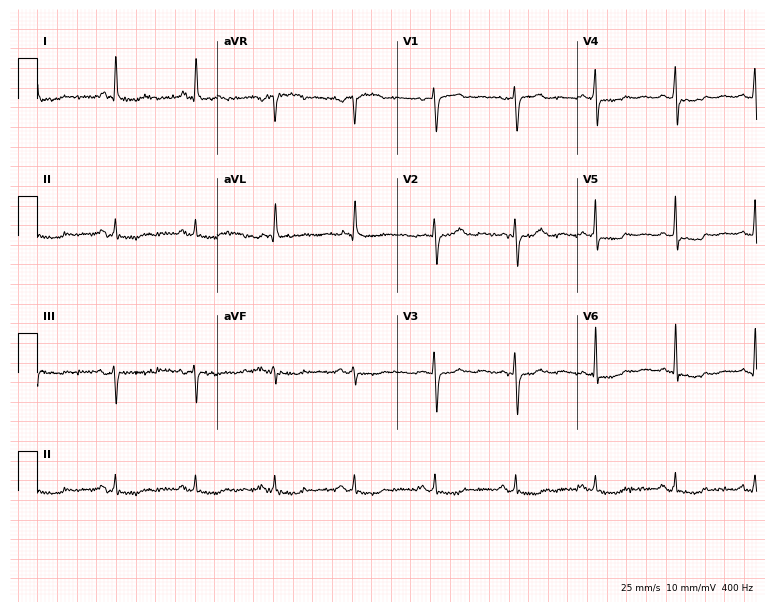
Electrocardiogram (7.3-second recording at 400 Hz), a 70-year-old female patient. Of the six screened findings (first-degree AV block, right bundle branch block, left bundle branch block, sinus bradycardia, atrial fibrillation, sinus tachycardia), none is recorded.